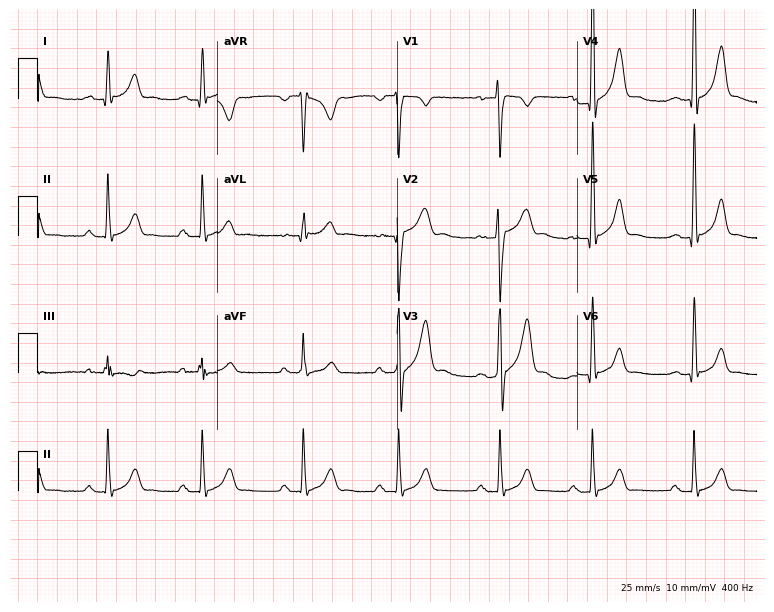
ECG (7.3-second recording at 400 Hz) — a 24-year-old man. Screened for six findings — first-degree AV block, right bundle branch block (RBBB), left bundle branch block (LBBB), sinus bradycardia, atrial fibrillation (AF), sinus tachycardia — none is recorded. Other findings, if any, are not listed.